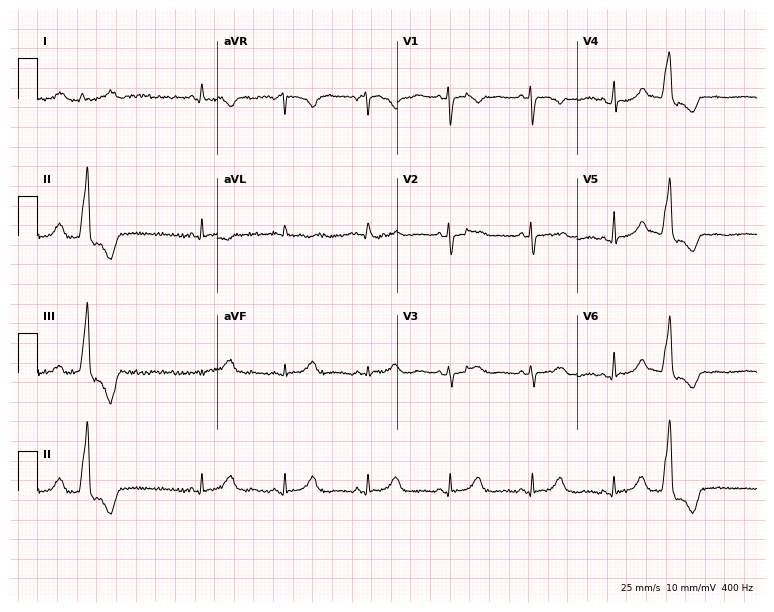
12-lead ECG from a female patient, 36 years old. Screened for six findings — first-degree AV block, right bundle branch block, left bundle branch block, sinus bradycardia, atrial fibrillation, sinus tachycardia — none is recorded.